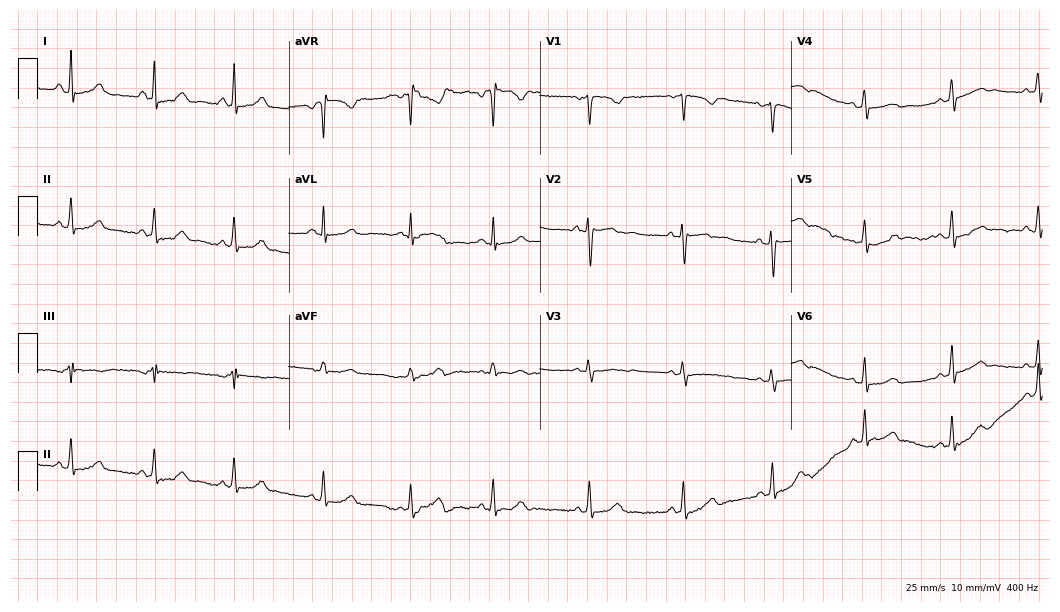
Resting 12-lead electrocardiogram (10.2-second recording at 400 Hz). Patient: a 31-year-old woman. Read as a normal ECG.